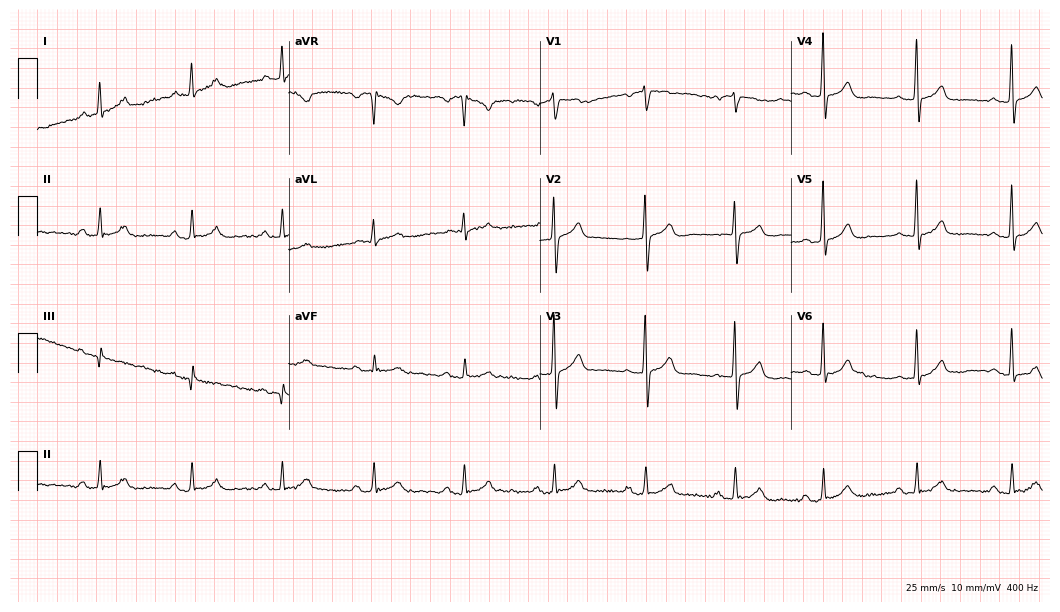
ECG — a 63-year-old man. Screened for six findings — first-degree AV block, right bundle branch block, left bundle branch block, sinus bradycardia, atrial fibrillation, sinus tachycardia — none is recorded. Findings outside these six are not listed.